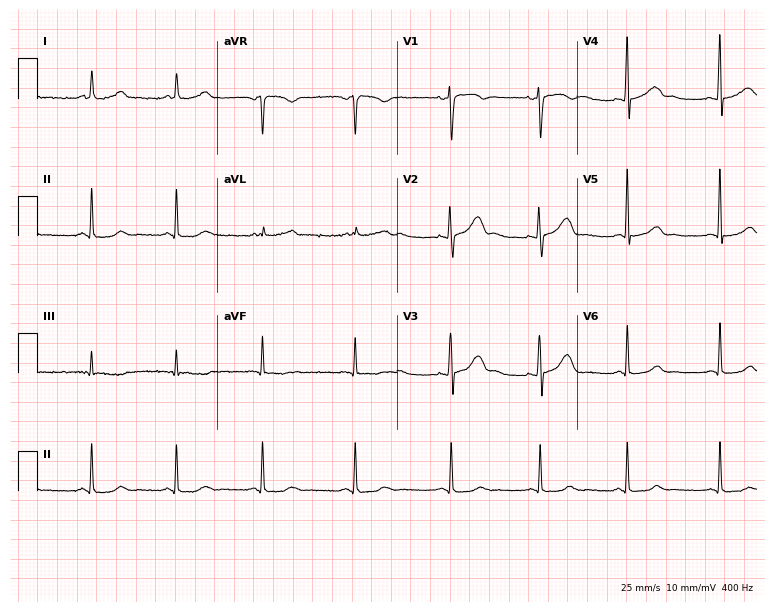
12-lead ECG (7.3-second recording at 400 Hz) from a 36-year-old female patient. Screened for six findings — first-degree AV block, right bundle branch block, left bundle branch block, sinus bradycardia, atrial fibrillation, sinus tachycardia — none is recorded. Other findings, if any, are not listed.